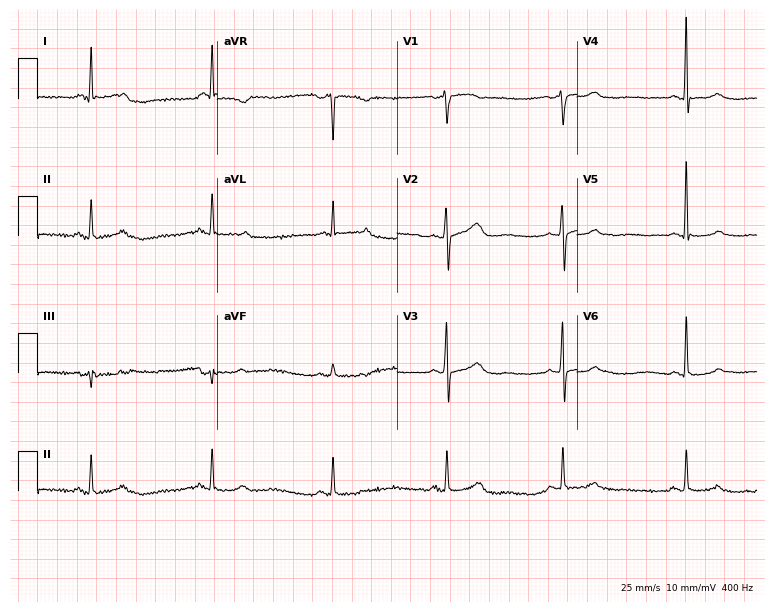
ECG (7.3-second recording at 400 Hz) — a 70-year-old female patient. Findings include sinus bradycardia (a sinus rate of 50 beats per minute or less).